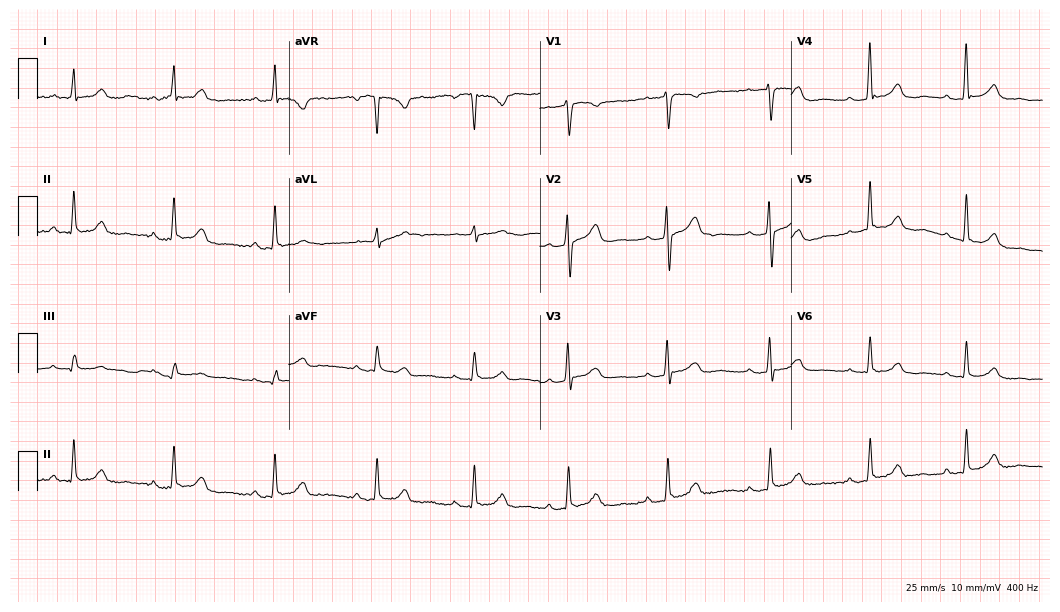
12-lead ECG from a 41-year-old man (10.2-second recording at 400 Hz). Recorded interpretation: within normal limits.